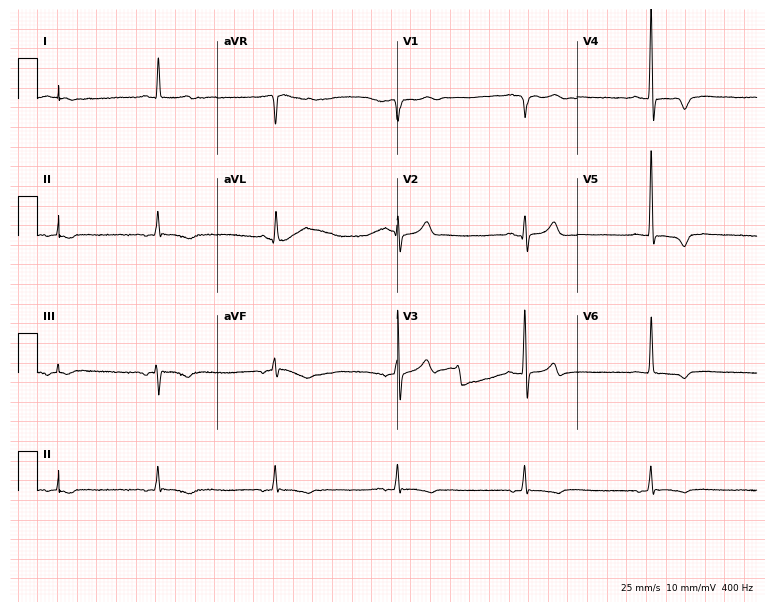
Resting 12-lead electrocardiogram. Patient: an 85-year-old man. None of these six findings is recorded: first-degree AV block, right bundle branch block, left bundle branch block, sinus bradycardia, atrial fibrillation, sinus tachycardia.